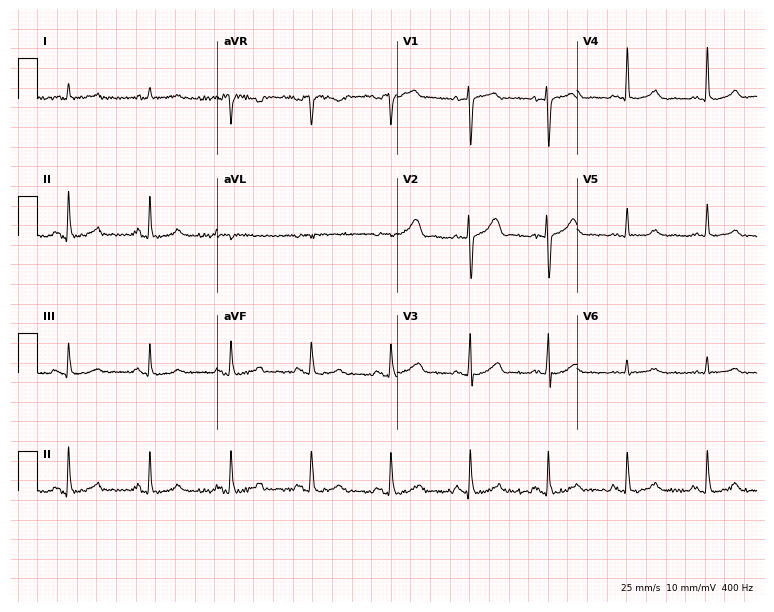
Electrocardiogram (7.3-second recording at 400 Hz), a 70-year-old male patient. Of the six screened findings (first-degree AV block, right bundle branch block, left bundle branch block, sinus bradycardia, atrial fibrillation, sinus tachycardia), none is recorded. Only these six findings were labelled.